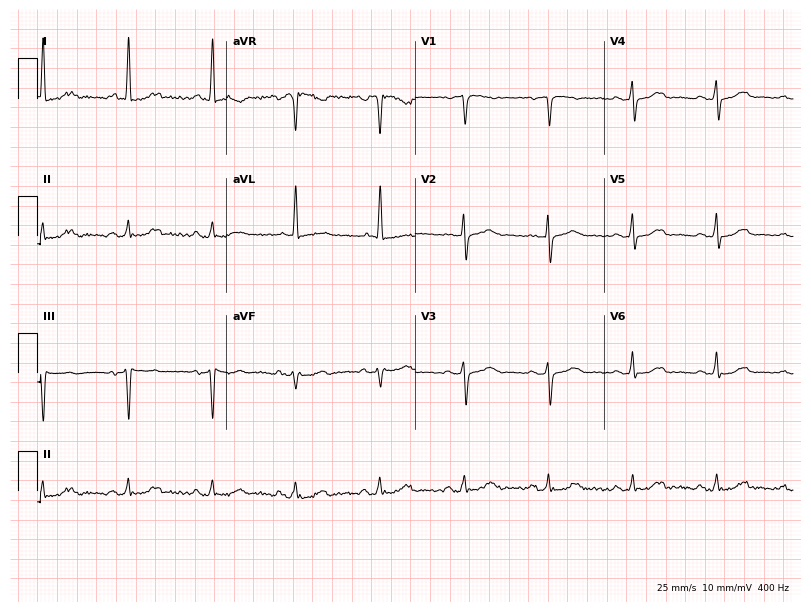
Electrocardiogram (7.7-second recording at 400 Hz), a 72-year-old female patient. Overall reading on record: normal ECG.